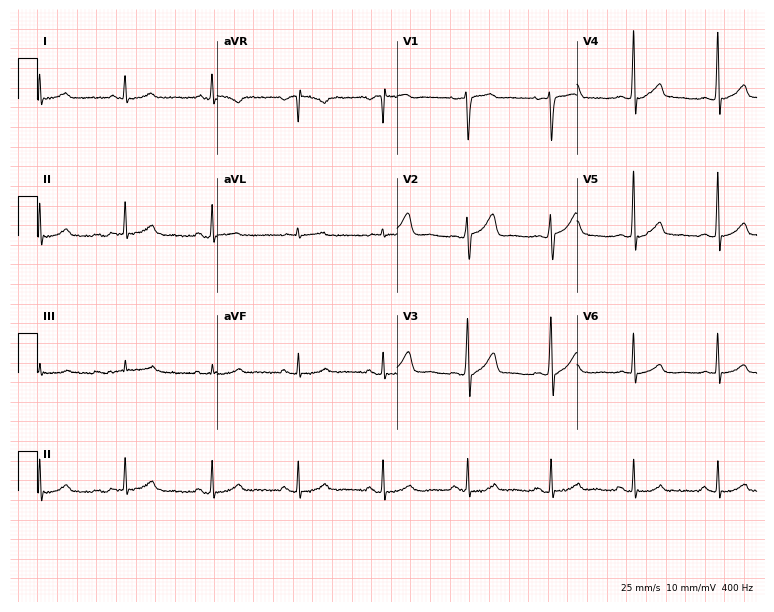
Resting 12-lead electrocardiogram (7.3-second recording at 400 Hz). Patient: a 56-year-old male. None of these six findings is recorded: first-degree AV block, right bundle branch block (RBBB), left bundle branch block (LBBB), sinus bradycardia, atrial fibrillation (AF), sinus tachycardia.